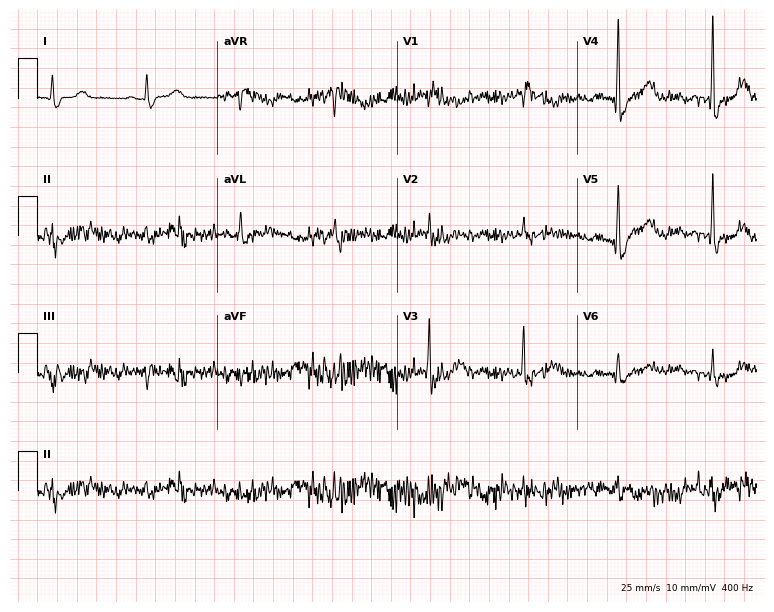
Standard 12-lead ECG recorded from a female patient, 76 years old (7.3-second recording at 400 Hz). None of these six findings is recorded: first-degree AV block, right bundle branch block, left bundle branch block, sinus bradycardia, atrial fibrillation, sinus tachycardia. Only these six findings were labelled.